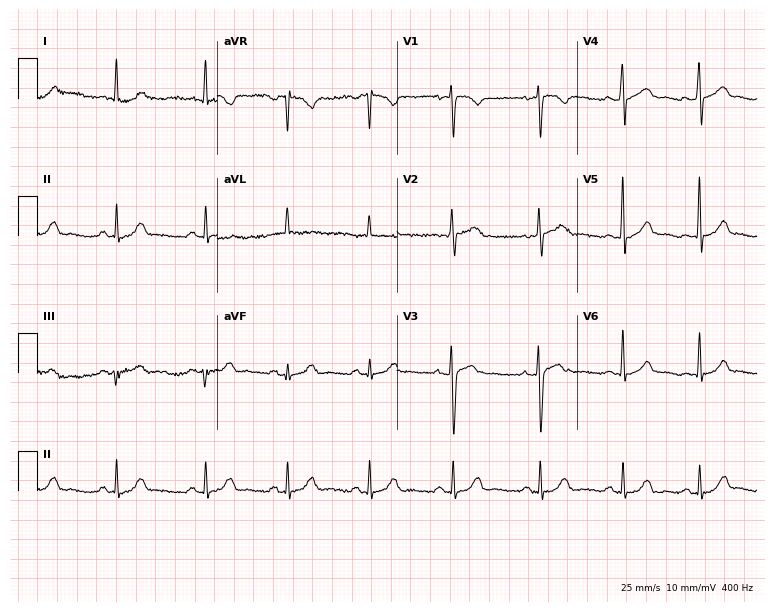
ECG (7.3-second recording at 400 Hz) — a female patient, 38 years old. Labelled as a normal ECG.